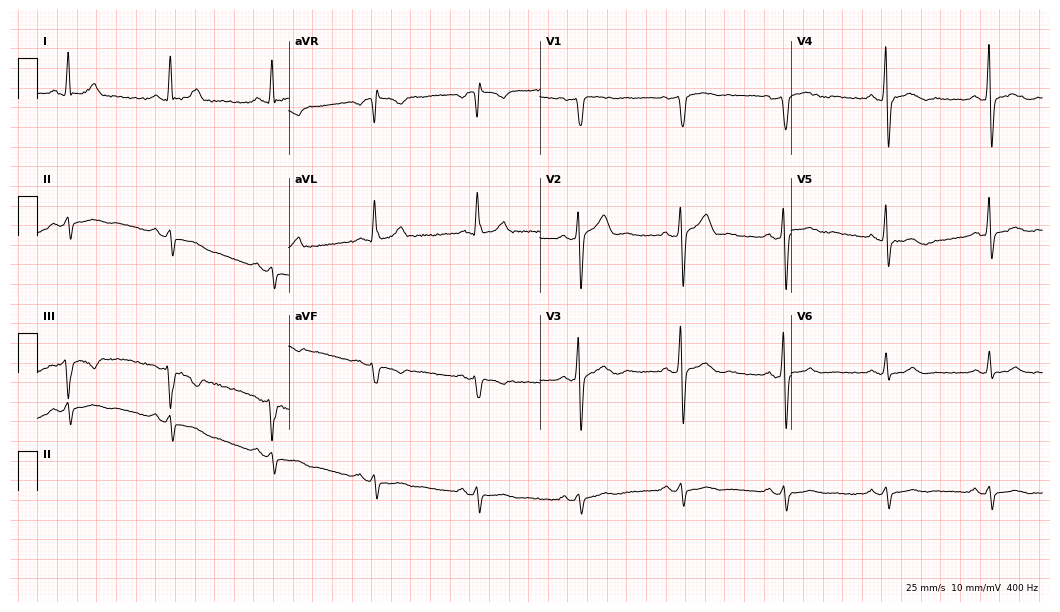
ECG (10.2-second recording at 400 Hz) — a male, 61 years old. Screened for six findings — first-degree AV block, right bundle branch block, left bundle branch block, sinus bradycardia, atrial fibrillation, sinus tachycardia — none is recorded. Other findings, if any, are not listed.